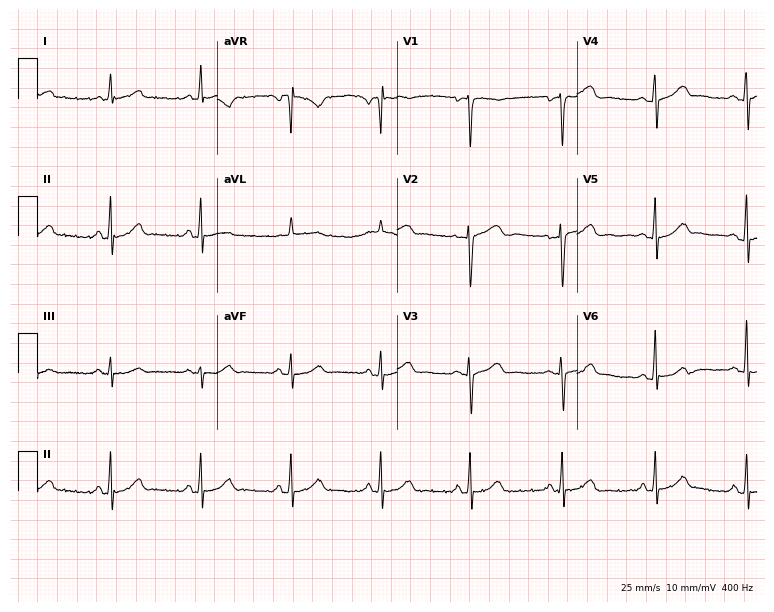
12-lead ECG from a woman, 49 years old. Recorded interpretation: within normal limits.